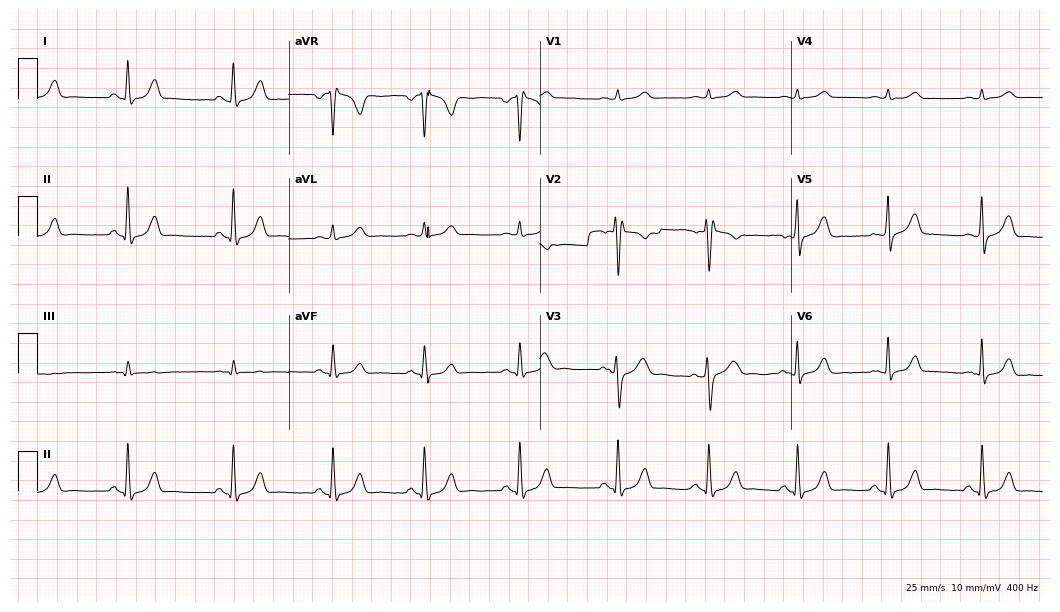
Resting 12-lead electrocardiogram (10.2-second recording at 400 Hz). Patient: a female, 27 years old. None of these six findings is recorded: first-degree AV block, right bundle branch block, left bundle branch block, sinus bradycardia, atrial fibrillation, sinus tachycardia. Findings outside these six are not listed.